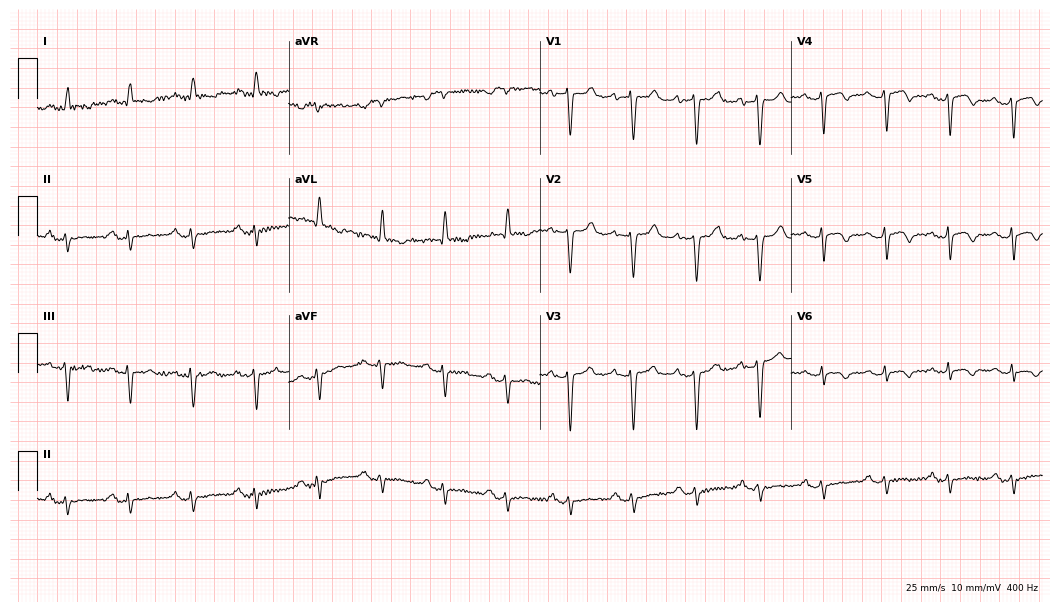
Electrocardiogram (10.2-second recording at 400 Hz), a woman, 76 years old. Of the six screened findings (first-degree AV block, right bundle branch block, left bundle branch block, sinus bradycardia, atrial fibrillation, sinus tachycardia), none is recorded.